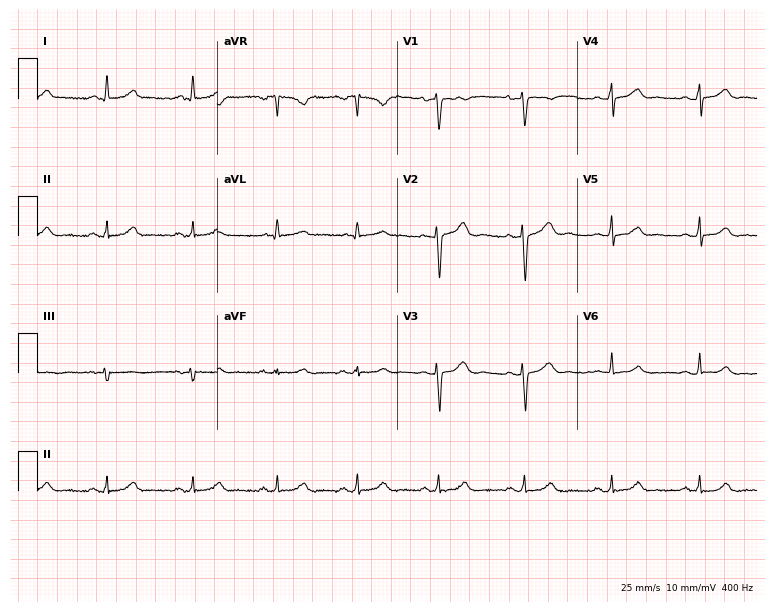
Standard 12-lead ECG recorded from a female, 38 years old. Read as a normal ECG.